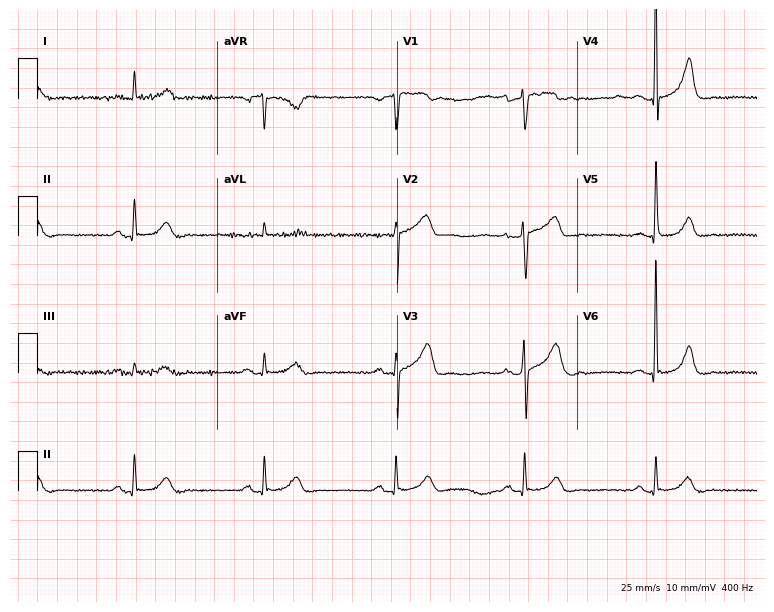
Resting 12-lead electrocardiogram (7.3-second recording at 400 Hz). Patient: a man, 74 years old. The tracing shows sinus bradycardia (a sinus rate of 50 beats per minute or less).